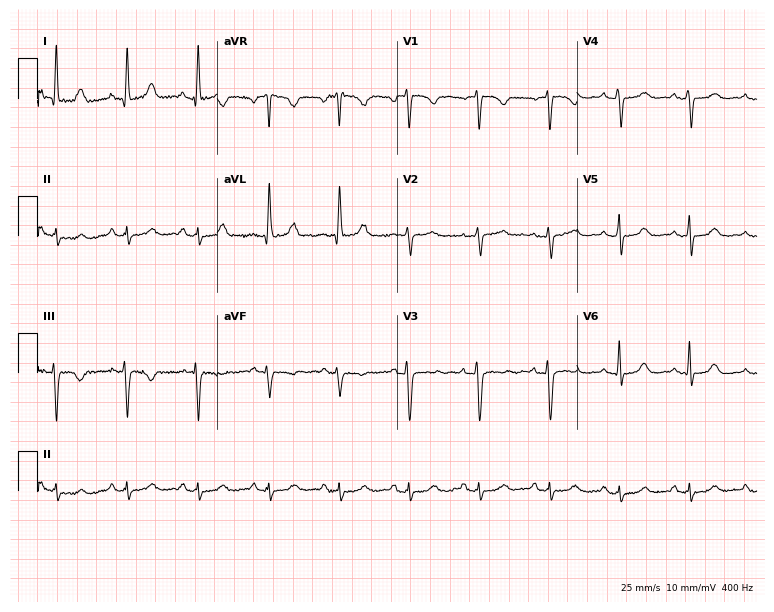
Resting 12-lead electrocardiogram. Patient: a 55-year-old female. Read as a normal ECG.